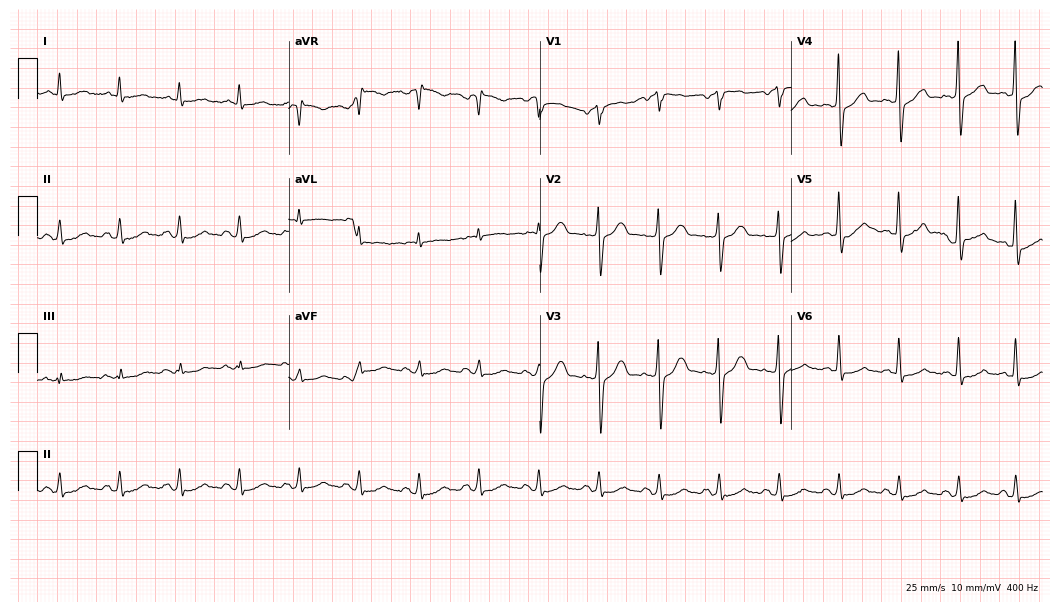
12-lead ECG from a 57-year-old man. Labelled as a normal ECG.